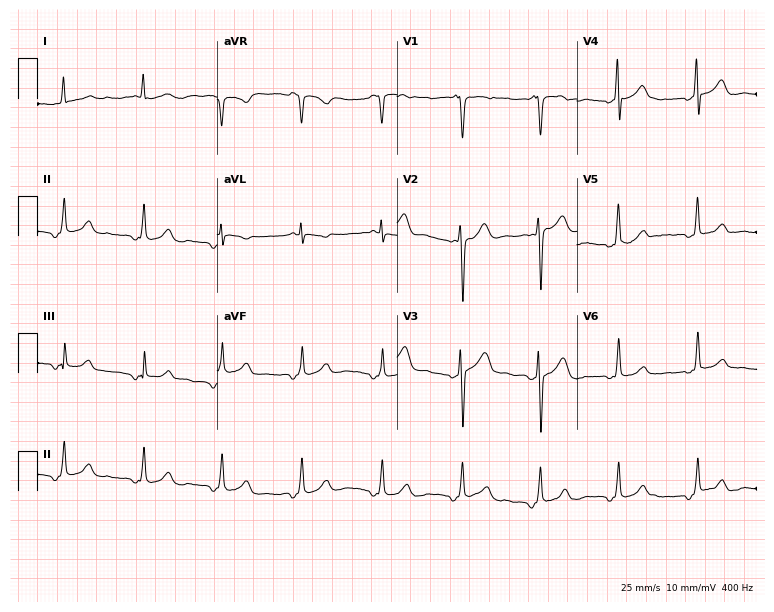
Standard 12-lead ECG recorded from a 60-year-old male. None of these six findings is recorded: first-degree AV block, right bundle branch block, left bundle branch block, sinus bradycardia, atrial fibrillation, sinus tachycardia. Only these six findings were labelled.